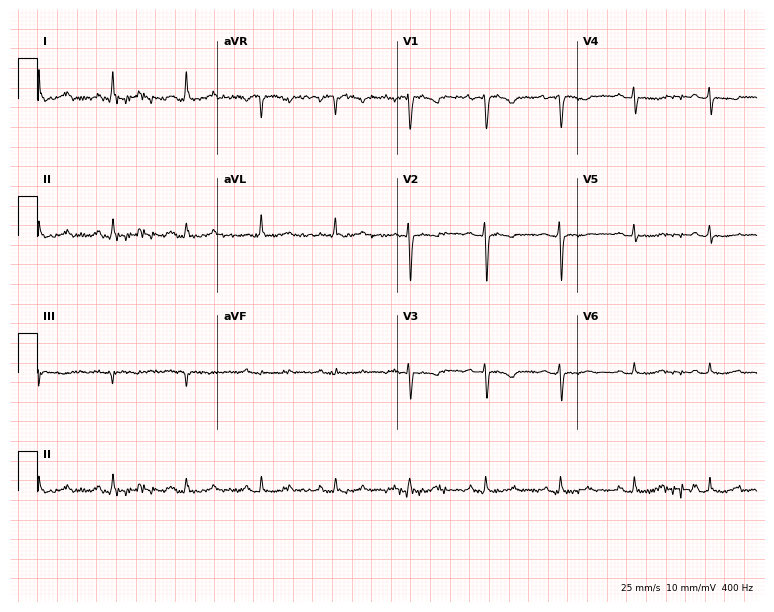
12-lead ECG from a 40-year-old female. No first-degree AV block, right bundle branch block, left bundle branch block, sinus bradycardia, atrial fibrillation or sinus tachycardia recorded for this tracing.